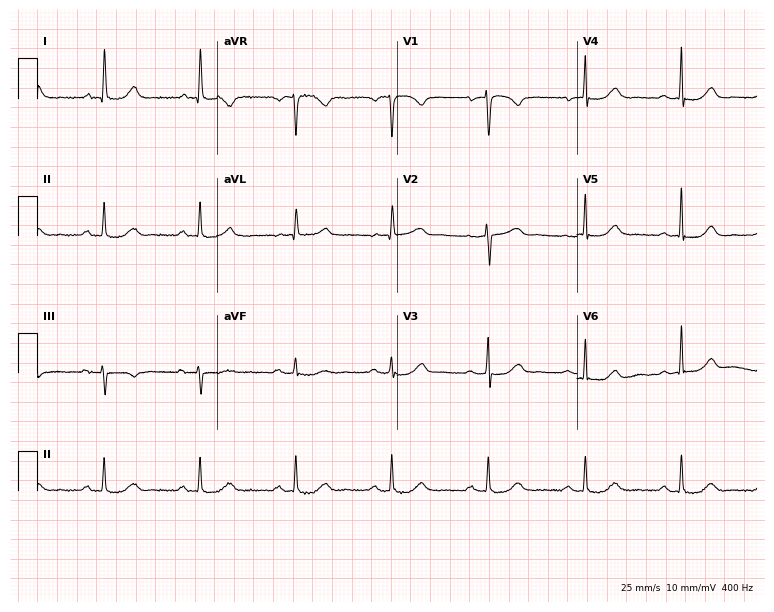
12-lead ECG from a 71-year-old female (7.3-second recording at 400 Hz). Recorded interpretation: within normal limits.